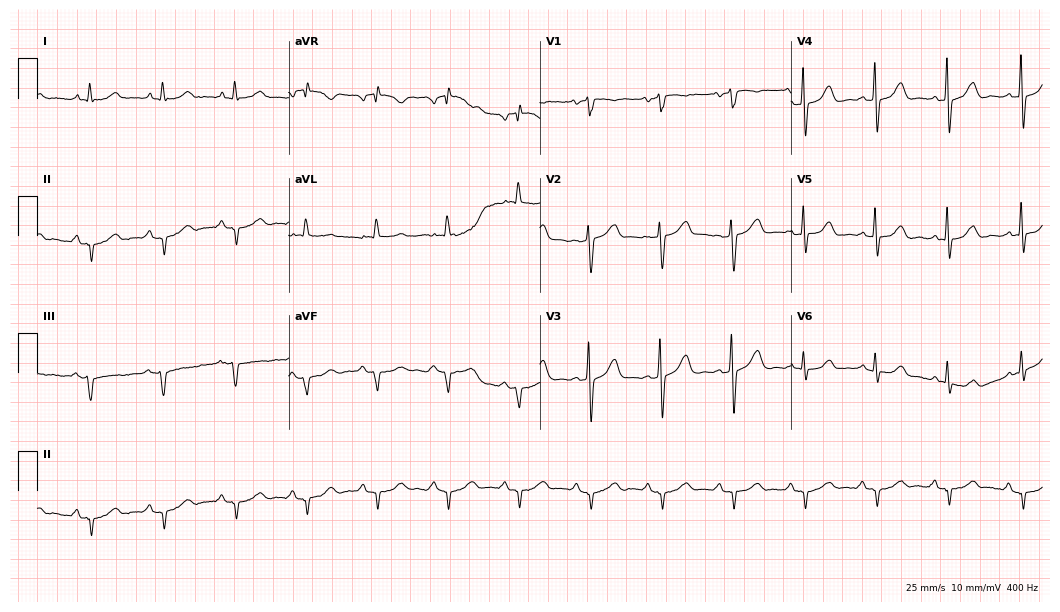
12-lead ECG from a 79-year-old male patient (10.2-second recording at 400 Hz). No first-degree AV block, right bundle branch block (RBBB), left bundle branch block (LBBB), sinus bradycardia, atrial fibrillation (AF) or sinus tachycardia recorded for this tracing. Other findings, if any, are not listed.